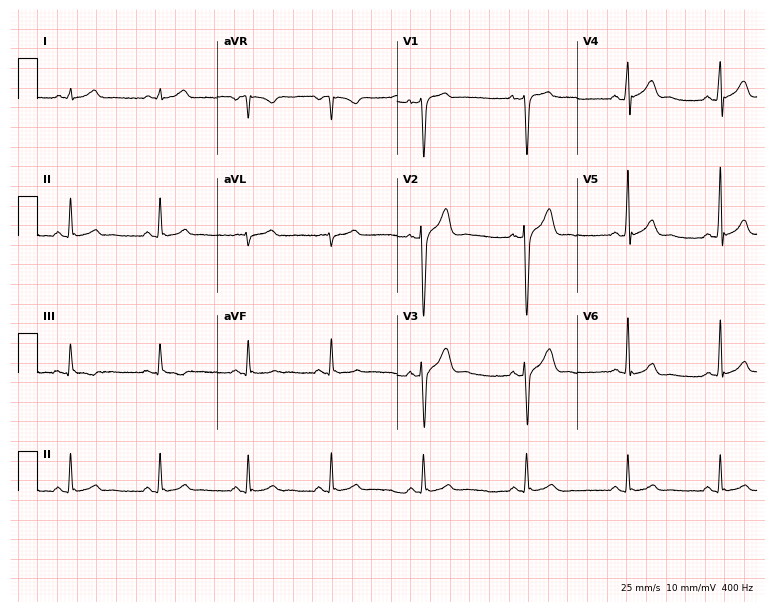
Electrocardiogram (7.3-second recording at 400 Hz), a male patient, 41 years old. Overall reading on record: normal ECG.